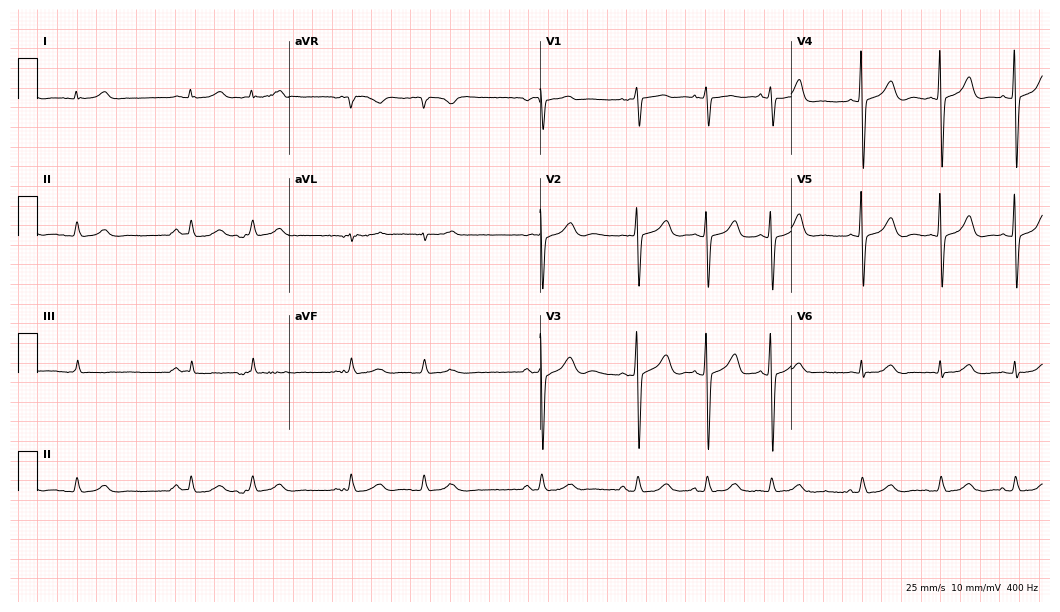
Standard 12-lead ECG recorded from an 84-year-old male. None of these six findings is recorded: first-degree AV block, right bundle branch block, left bundle branch block, sinus bradycardia, atrial fibrillation, sinus tachycardia. Other findings, if any, are not listed.